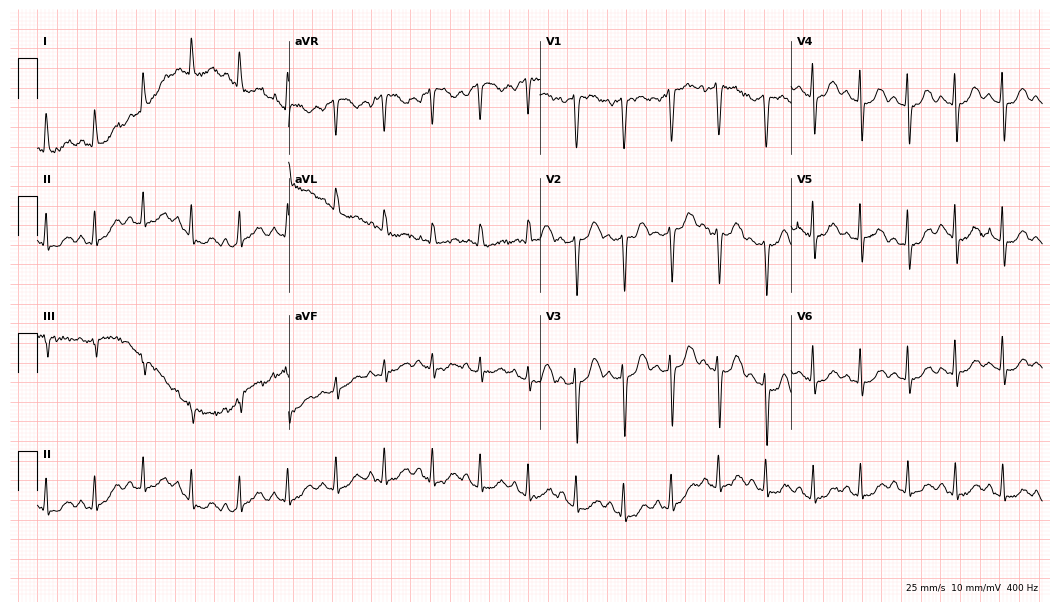
12-lead ECG from a 67-year-old female patient. Findings include sinus tachycardia (a sinus rate of 100 beats per minute or more).